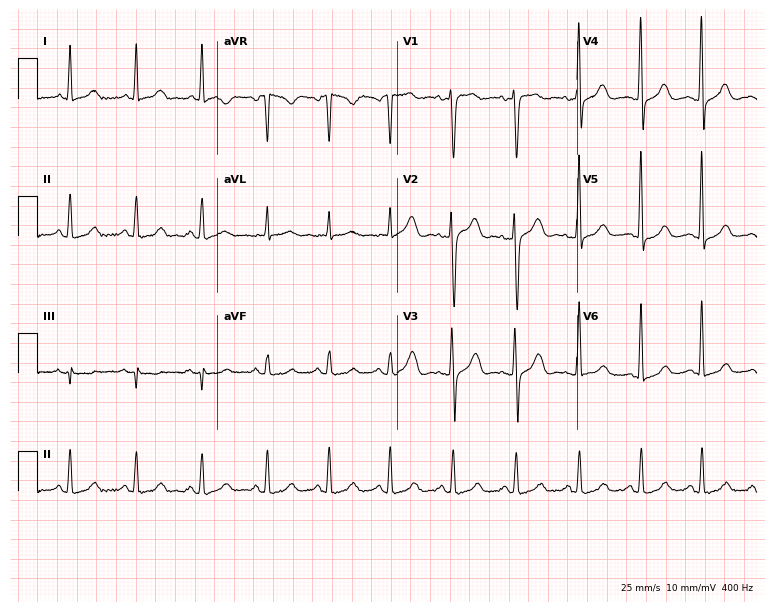
12-lead ECG from a woman, 43 years old (7.3-second recording at 400 Hz). Recorded interpretation: within normal limits.